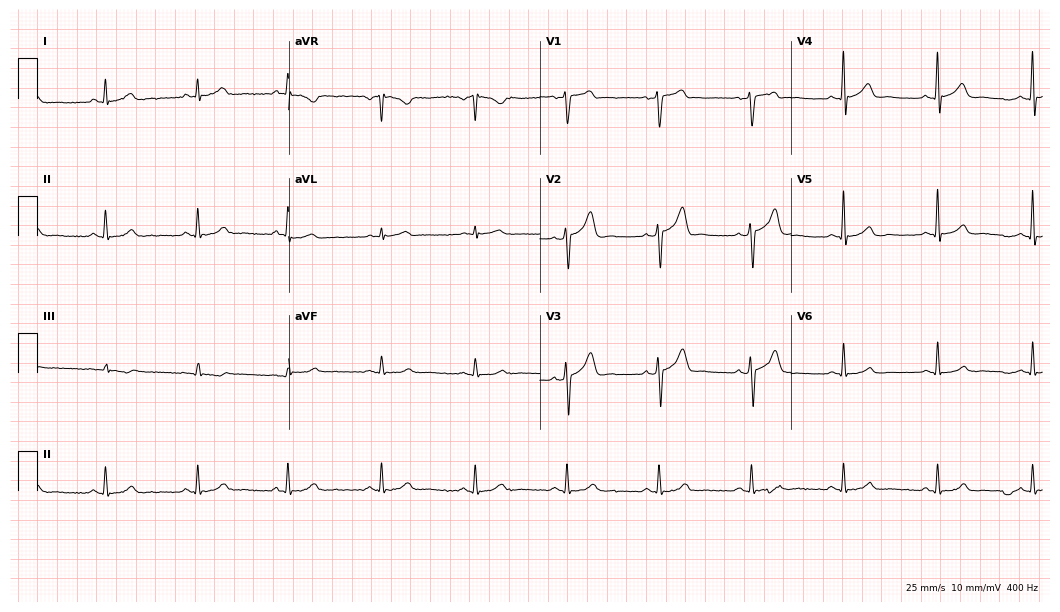
Resting 12-lead electrocardiogram (10.2-second recording at 400 Hz). Patient: a 58-year-old woman. Read as a normal ECG.